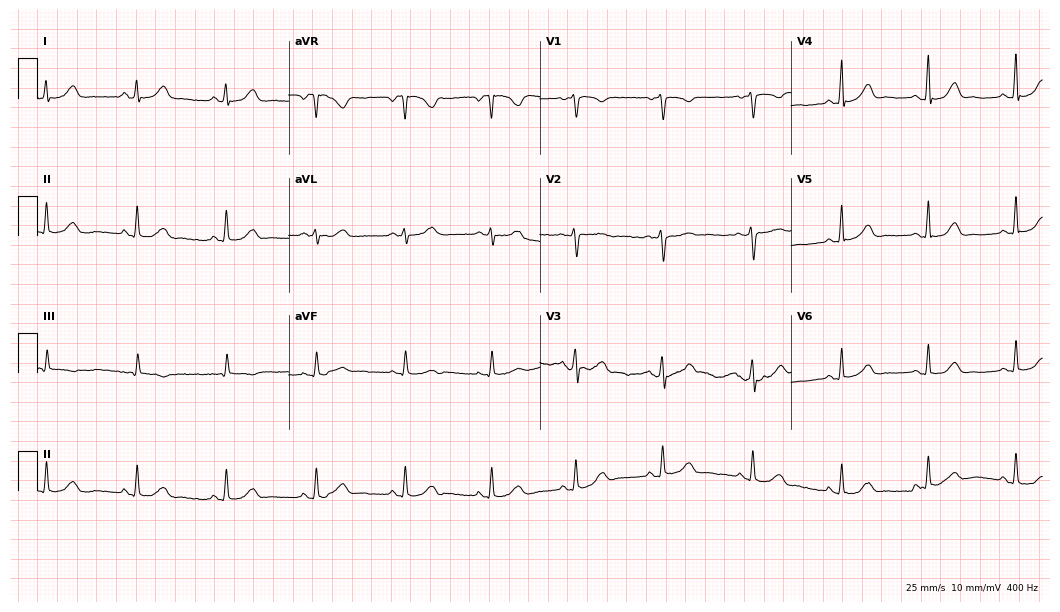
Resting 12-lead electrocardiogram. Patient: a 41-year-old woman. Read as a normal ECG.